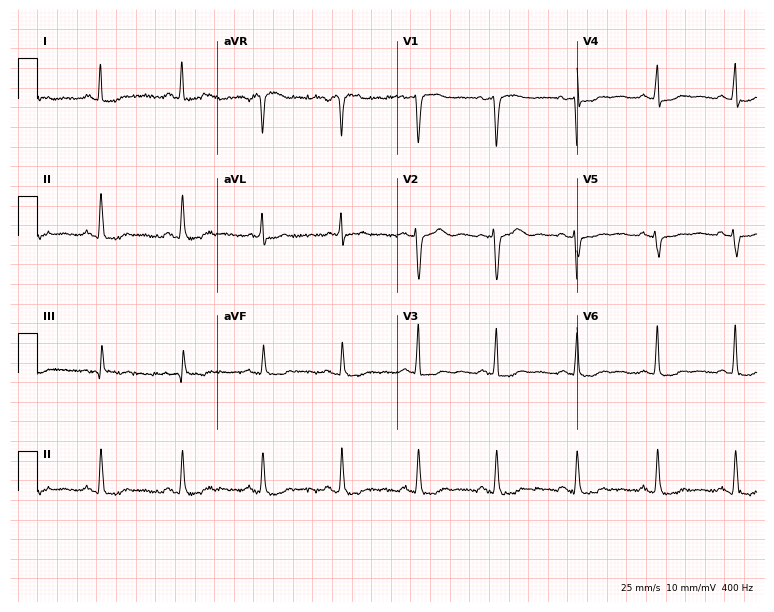
12-lead ECG (7.3-second recording at 400 Hz) from a 54-year-old female patient. Screened for six findings — first-degree AV block, right bundle branch block, left bundle branch block, sinus bradycardia, atrial fibrillation, sinus tachycardia — none is recorded. Findings outside these six are not listed.